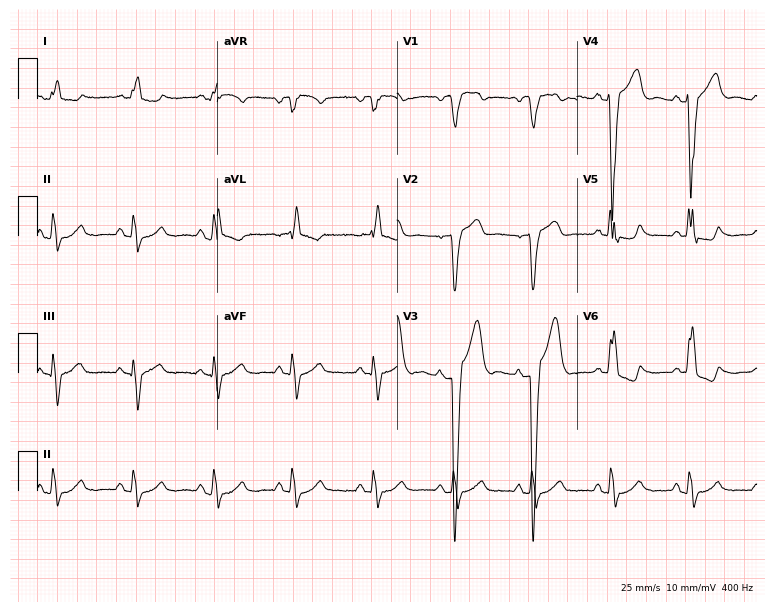
ECG (7.3-second recording at 400 Hz) — a male patient, 80 years old. Findings include left bundle branch block.